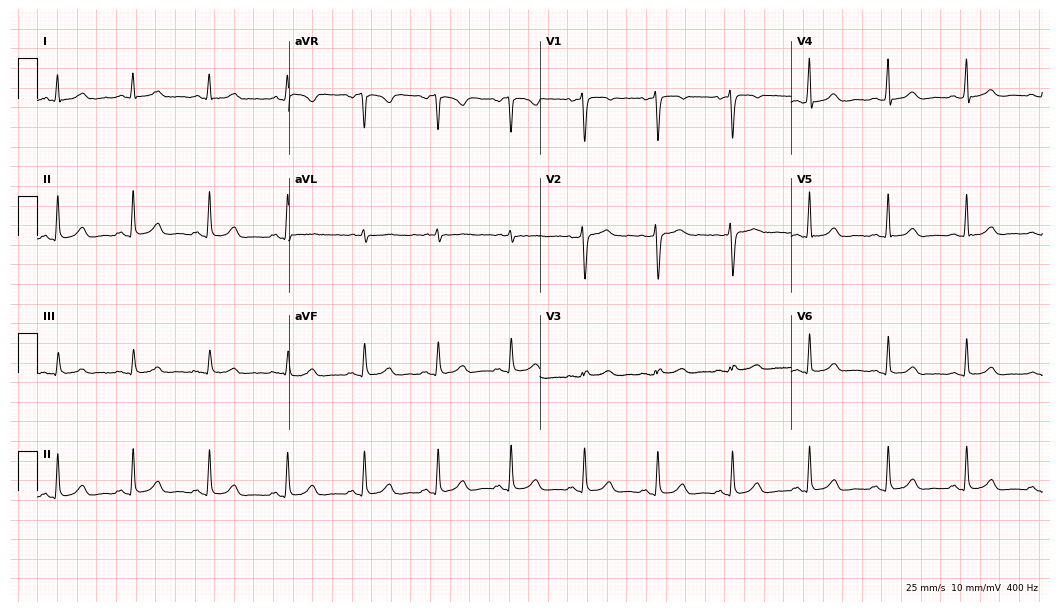
12-lead ECG (10.2-second recording at 400 Hz) from a 42-year-old female patient. Labelled as a normal ECG.